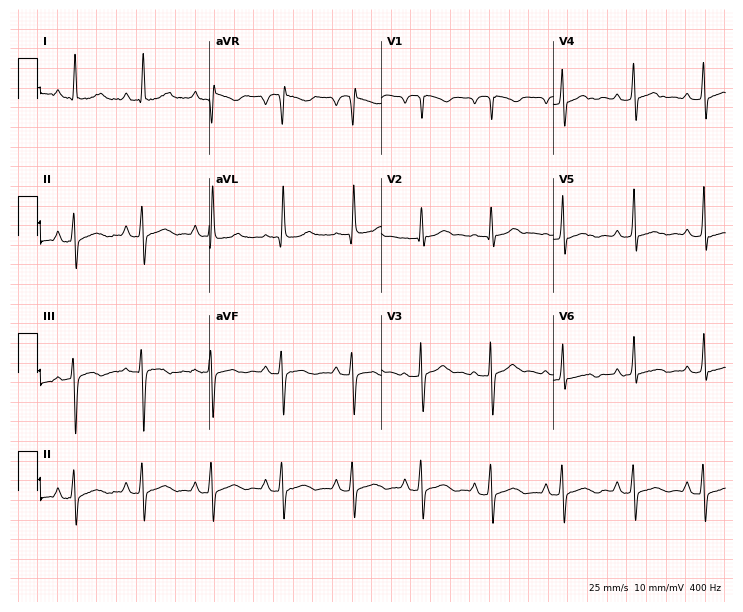
12-lead ECG from a male patient, 68 years old (7-second recording at 400 Hz). No first-degree AV block, right bundle branch block, left bundle branch block, sinus bradycardia, atrial fibrillation or sinus tachycardia recorded for this tracing. Findings outside these six are not listed.